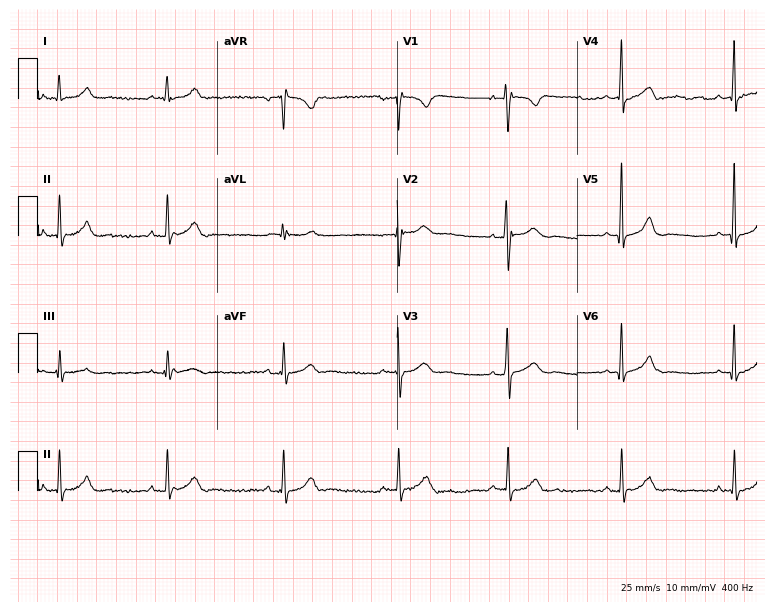
12-lead ECG from a male, 20 years old (7.3-second recording at 400 Hz). Recorded interpretation: within normal limits.